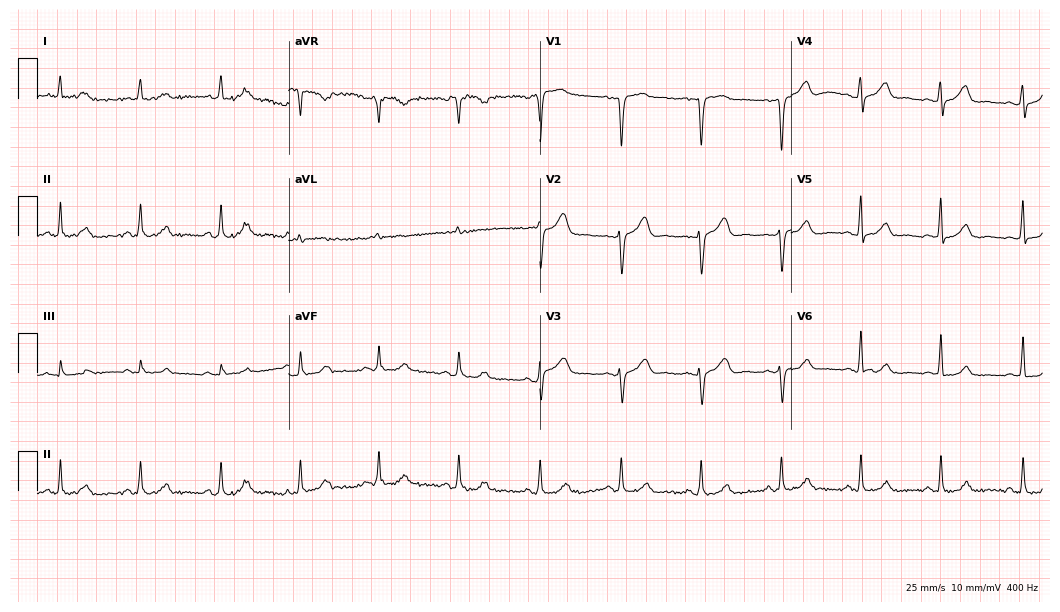
12-lead ECG from a woman, 46 years old. Labelled as a normal ECG.